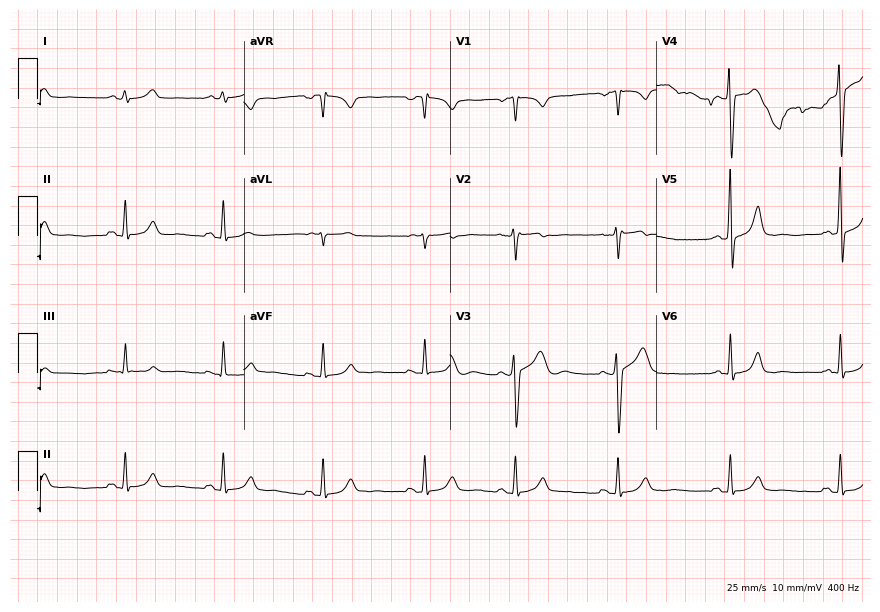
Electrocardiogram (8.4-second recording at 400 Hz), a male, 35 years old. Of the six screened findings (first-degree AV block, right bundle branch block, left bundle branch block, sinus bradycardia, atrial fibrillation, sinus tachycardia), none is recorded.